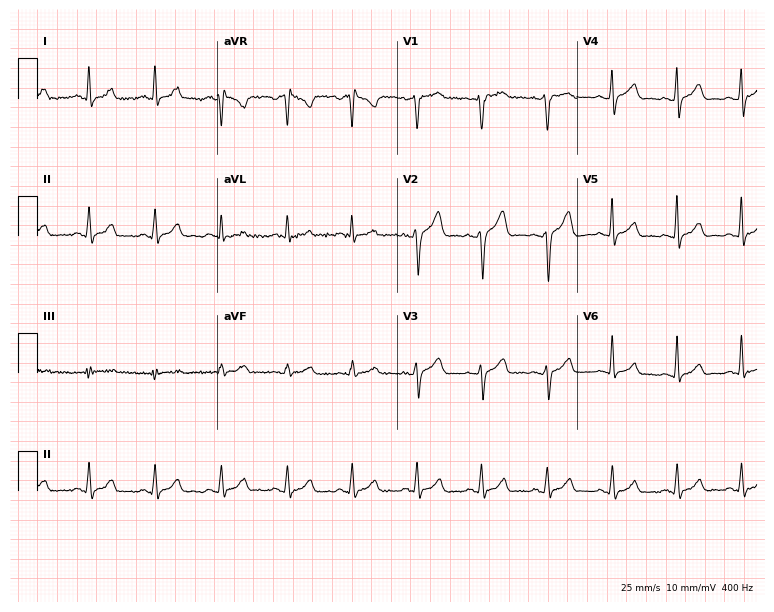
ECG (7.3-second recording at 400 Hz) — a male, 49 years old. Labelled as a normal ECG.